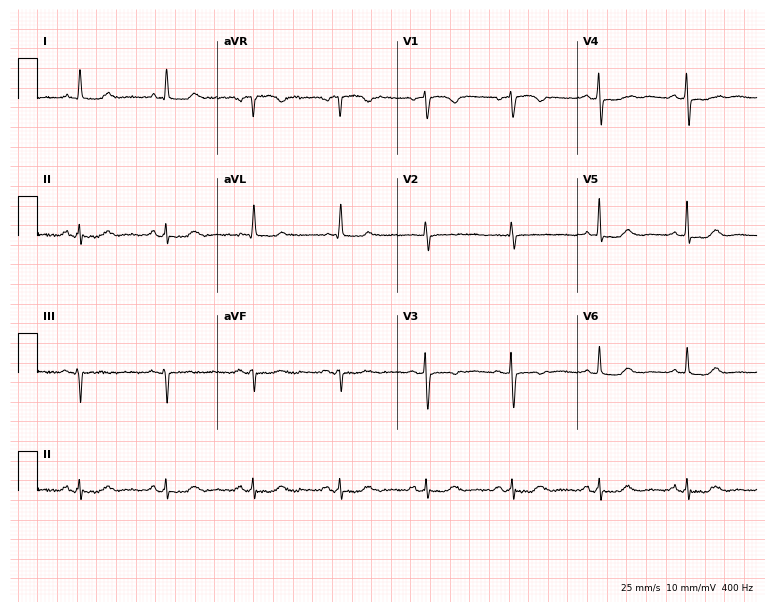
12-lead ECG (7.3-second recording at 400 Hz) from a woman, 76 years old. Labelled as a normal ECG.